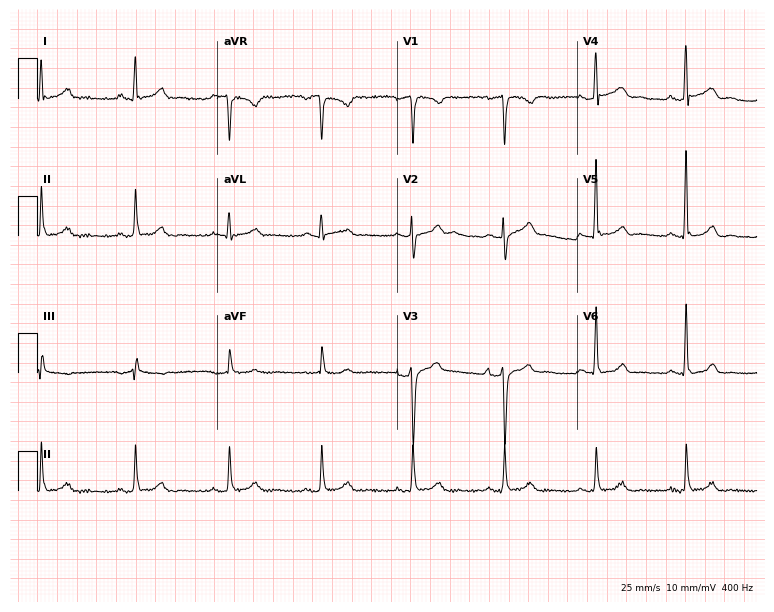
Standard 12-lead ECG recorded from a 61-year-old male patient. Read as a normal ECG.